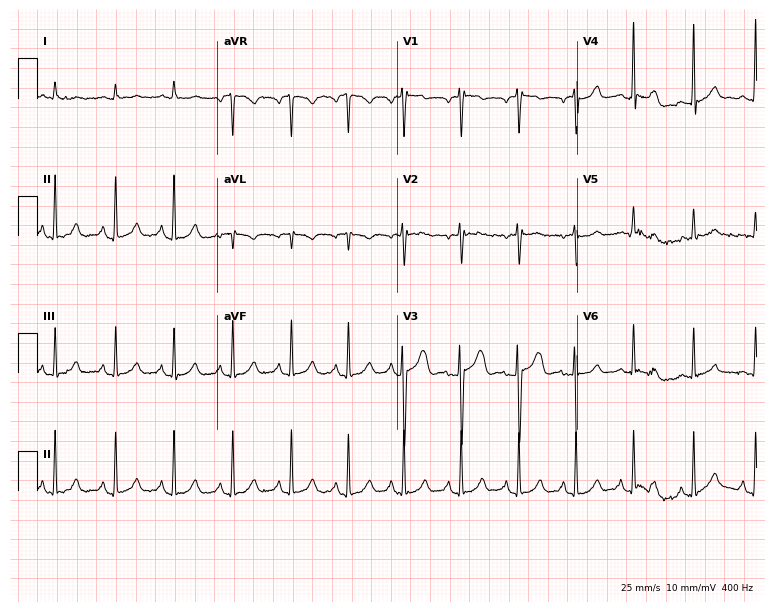
Electrocardiogram, a male, 17 years old. Interpretation includes sinus tachycardia (a sinus rate of 100 beats per minute or more).